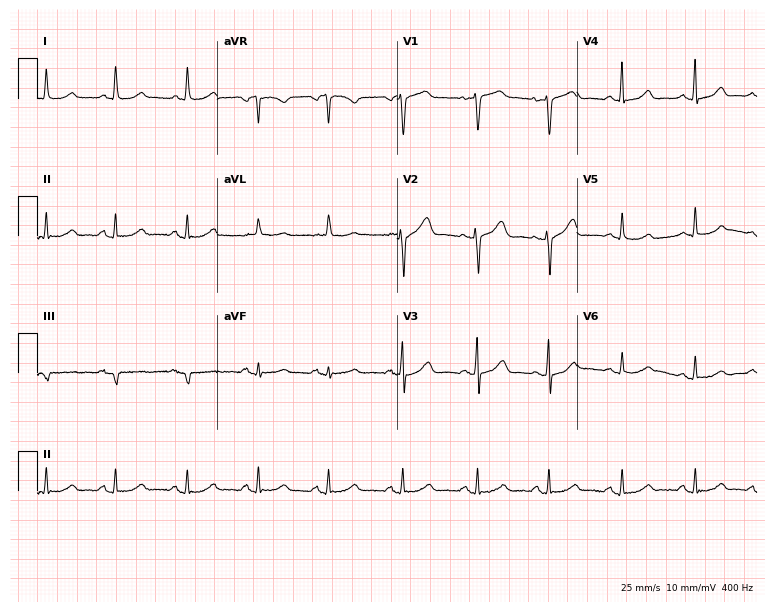
ECG — a female, 68 years old. Labelled as a normal ECG.